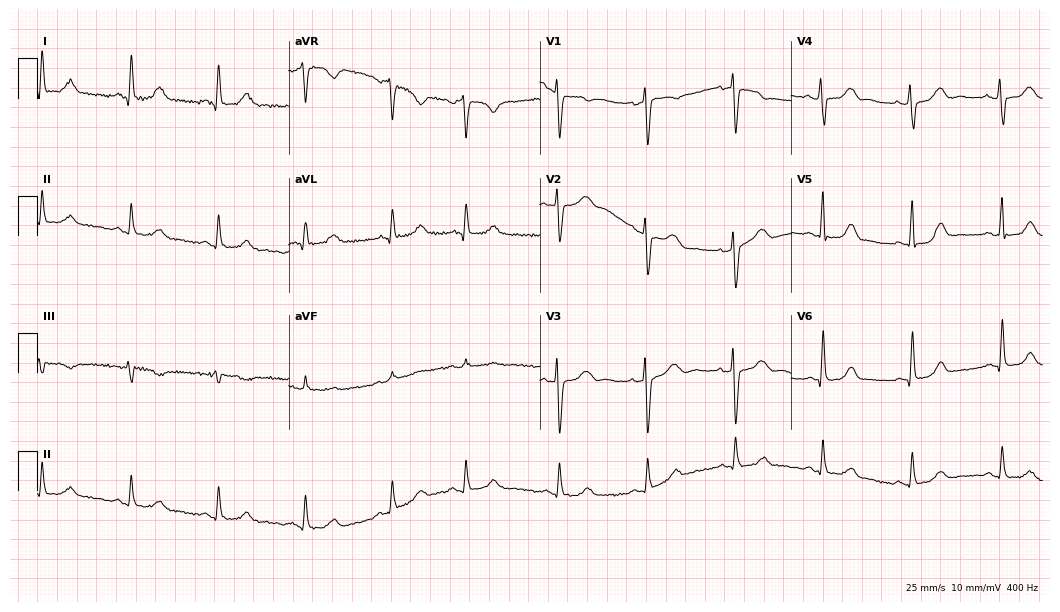
12-lead ECG from a 42-year-old woman. Screened for six findings — first-degree AV block, right bundle branch block (RBBB), left bundle branch block (LBBB), sinus bradycardia, atrial fibrillation (AF), sinus tachycardia — none is recorded.